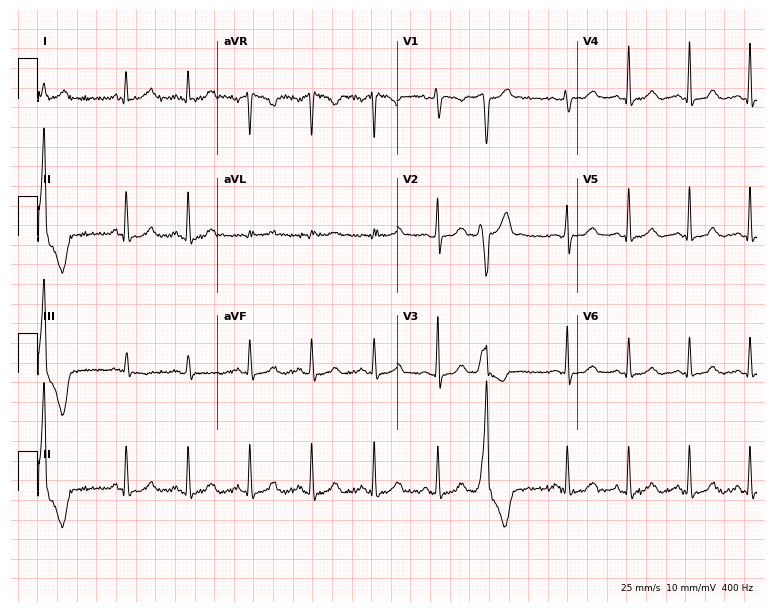
ECG — a female, 55 years old. Screened for six findings — first-degree AV block, right bundle branch block (RBBB), left bundle branch block (LBBB), sinus bradycardia, atrial fibrillation (AF), sinus tachycardia — none is recorded.